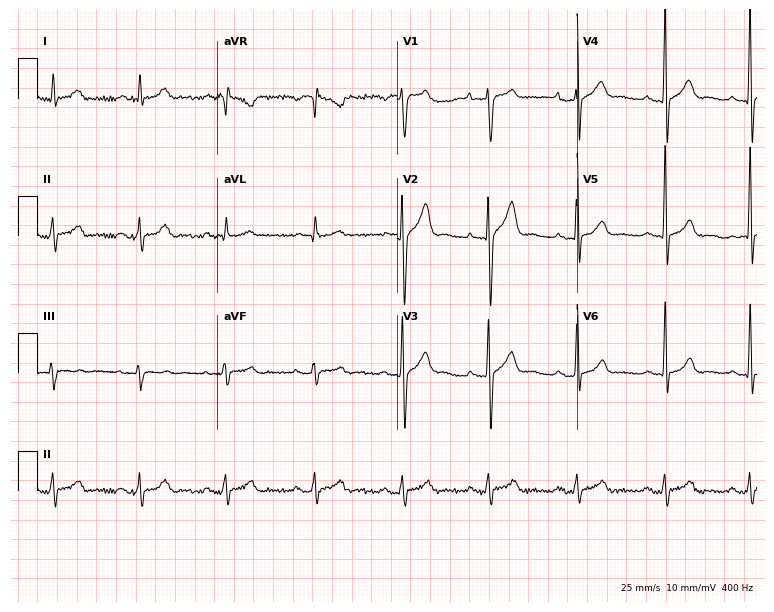
Resting 12-lead electrocardiogram. Patient: a 44-year-old male. Read as a normal ECG.